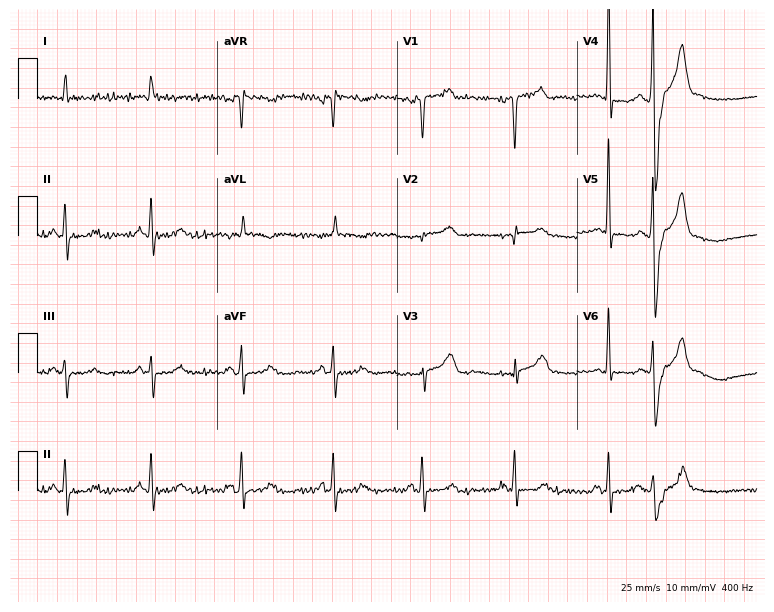
Standard 12-lead ECG recorded from a 74-year-old male patient. None of these six findings is recorded: first-degree AV block, right bundle branch block, left bundle branch block, sinus bradycardia, atrial fibrillation, sinus tachycardia. Findings outside these six are not listed.